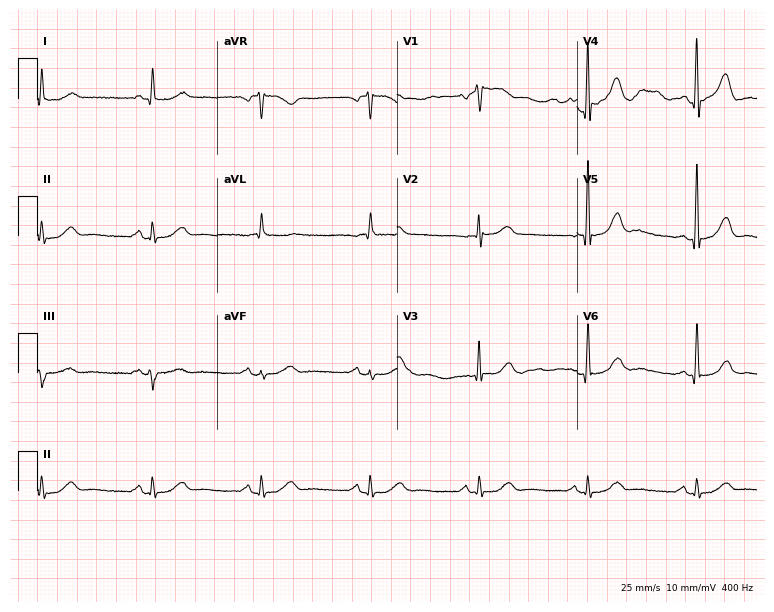
12-lead ECG from a man, 78 years old (7.3-second recording at 400 Hz). Recorded interpretation: within normal limits.